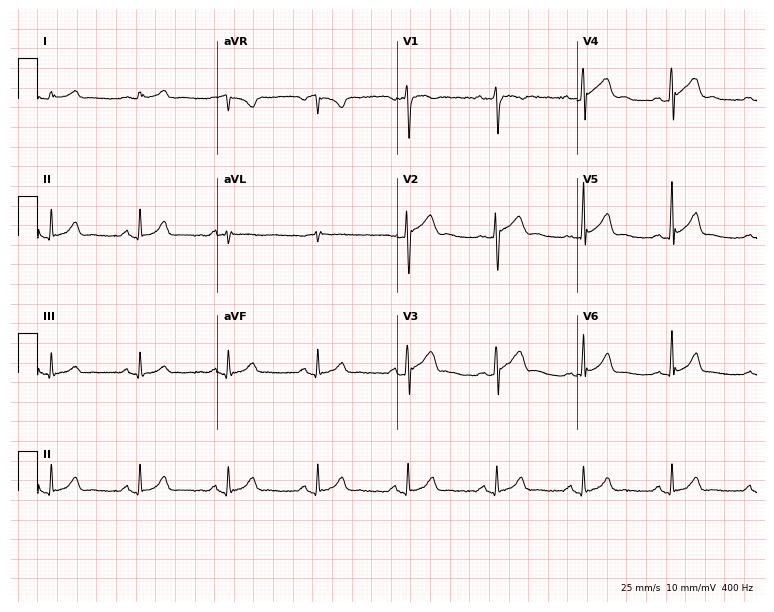
12-lead ECG from a 33-year-old man (7.3-second recording at 400 Hz). No first-degree AV block, right bundle branch block, left bundle branch block, sinus bradycardia, atrial fibrillation or sinus tachycardia recorded for this tracing. Other findings, if any, are not listed.